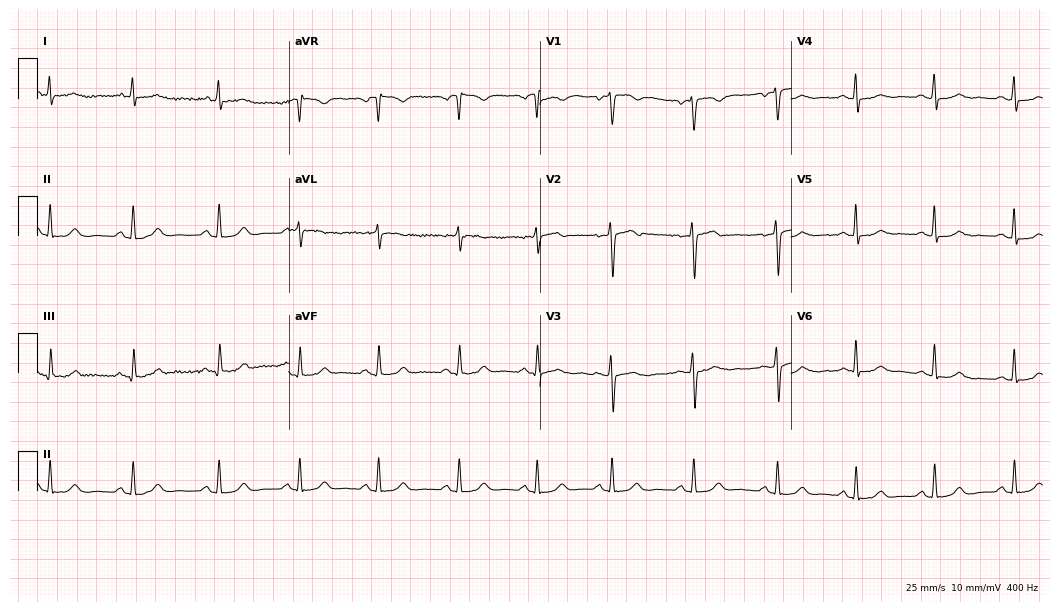
12-lead ECG from a 32-year-old female patient. Screened for six findings — first-degree AV block, right bundle branch block, left bundle branch block, sinus bradycardia, atrial fibrillation, sinus tachycardia — none is recorded. Only these six findings were labelled.